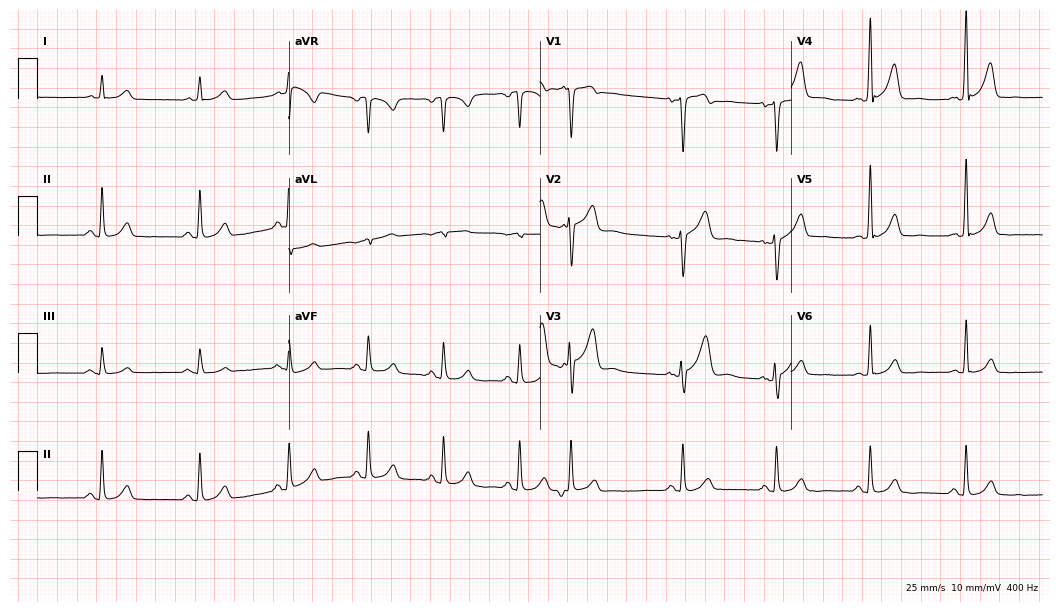
12-lead ECG from a man, 55 years old (10.2-second recording at 400 Hz). Recorded interpretation: within normal limits.